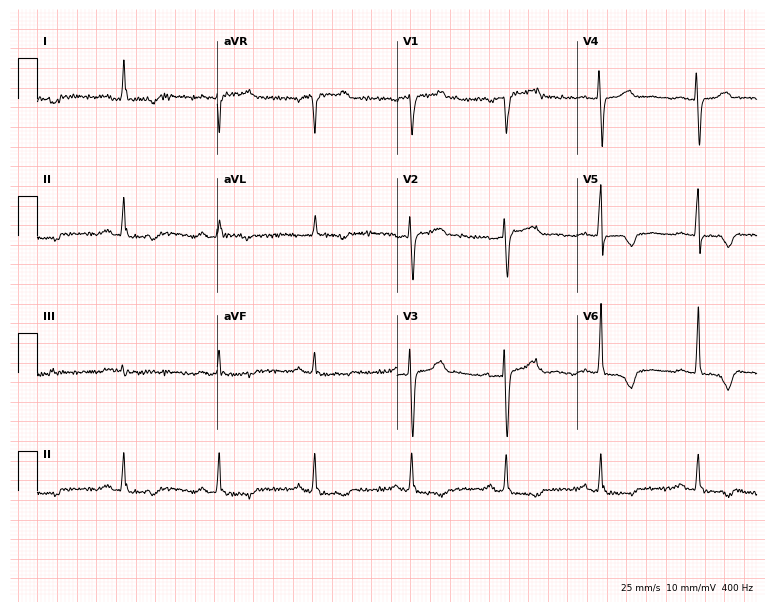
ECG (7.3-second recording at 400 Hz) — a female, 74 years old. Screened for six findings — first-degree AV block, right bundle branch block, left bundle branch block, sinus bradycardia, atrial fibrillation, sinus tachycardia — none is recorded.